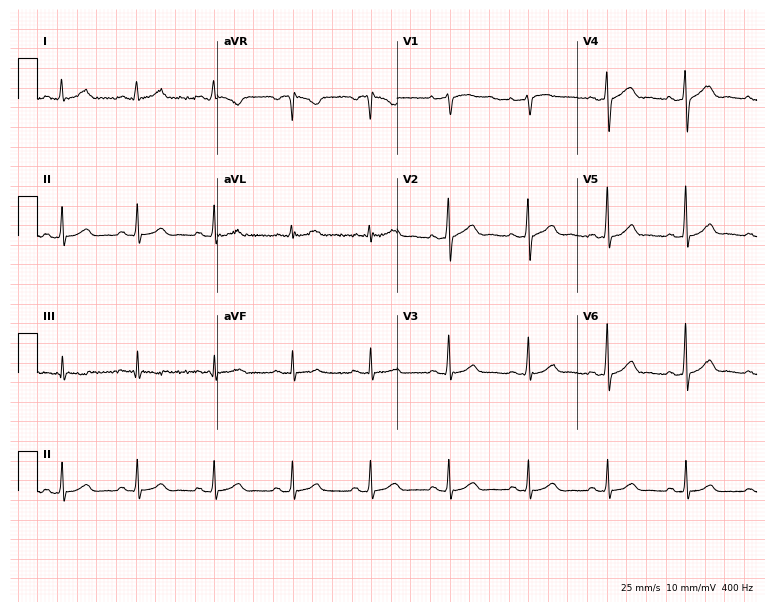
Resting 12-lead electrocardiogram (7.3-second recording at 400 Hz). Patient: a male, 59 years old. Read as a normal ECG.